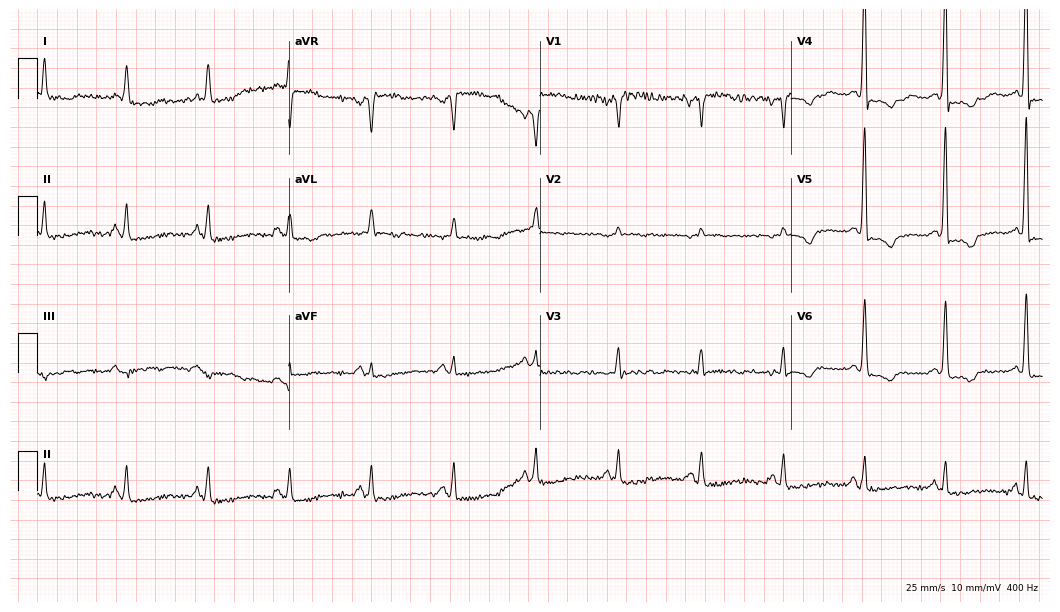
12-lead ECG from a 70-year-old man (10.2-second recording at 400 Hz). No first-degree AV block, right bundle branch block, left bundle branch block, sinus bradycardia, atrial fibrillation or sinus tachycardia recorded for this tracing.